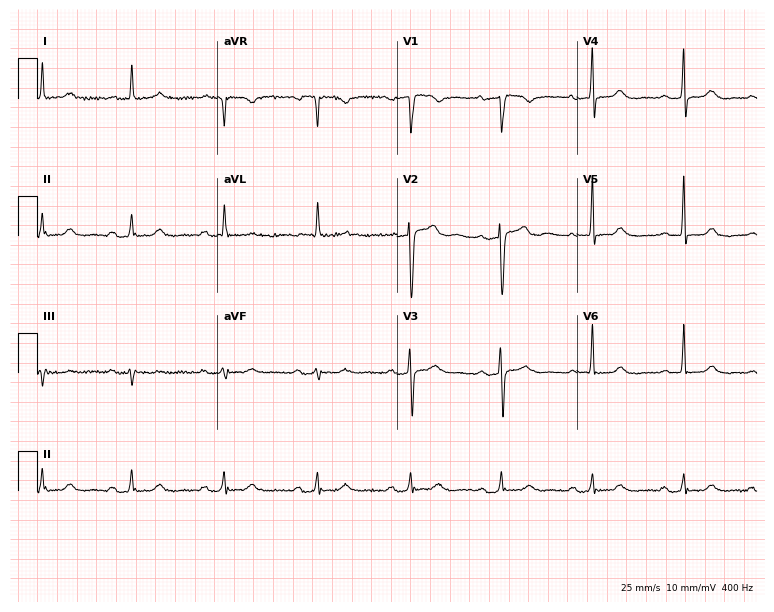
Resting 12-lead electrocardiogram (7.3-second recording at 400 Hz). Patient: a 76-year-old woman. Read as a normal ECG.